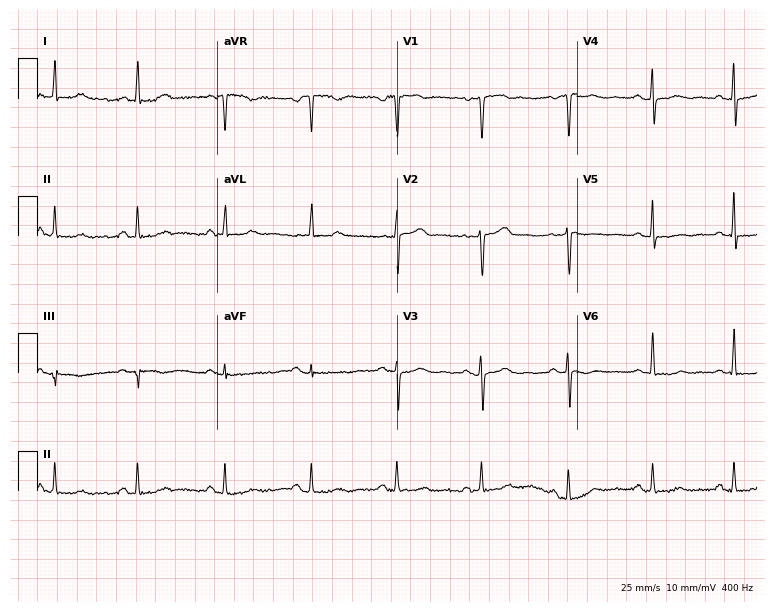
Electrocardiogram, a 47-year-old female. Of the six screened findings (first-degree AV block, right bundle branch block, left bundle branch block, sinus bradycardia, atrial fibrillation, sinus tachycardia), none is recorded. Findings outside these six are not listed.